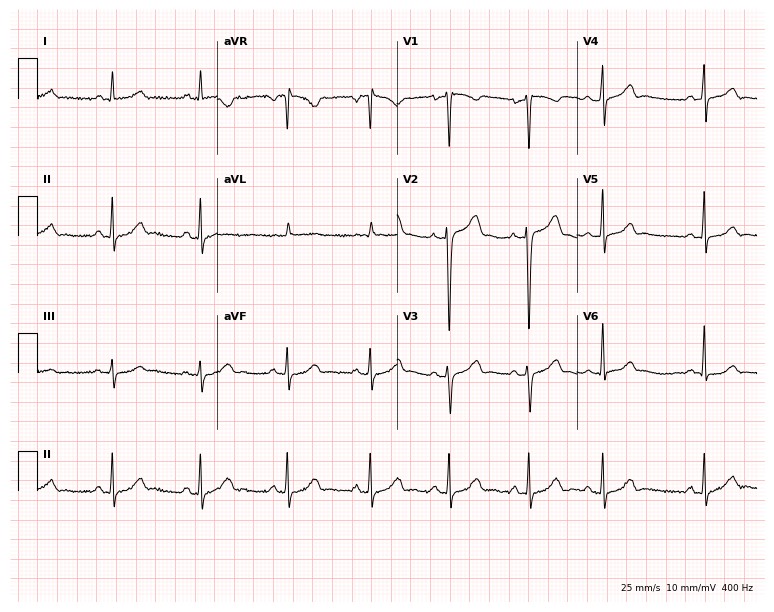
Standard 12-lead ECG recorded from a 46-year-old female (7.3-second recording at 400 Hz). None of these six findings is recorded: first-degree AV block, right bundle branch block, left bundle branch block, sinus bradycardia, atrial fibrillation, sinus tachycardia. Findings outside these six are not listed.